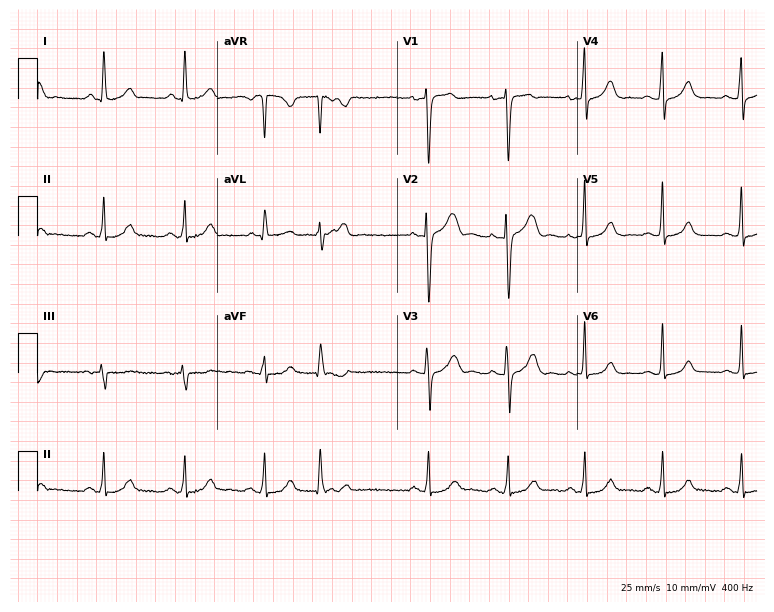
12-lead ECG from a 41-year-old woman. Recorded interpretation: within normal limits.